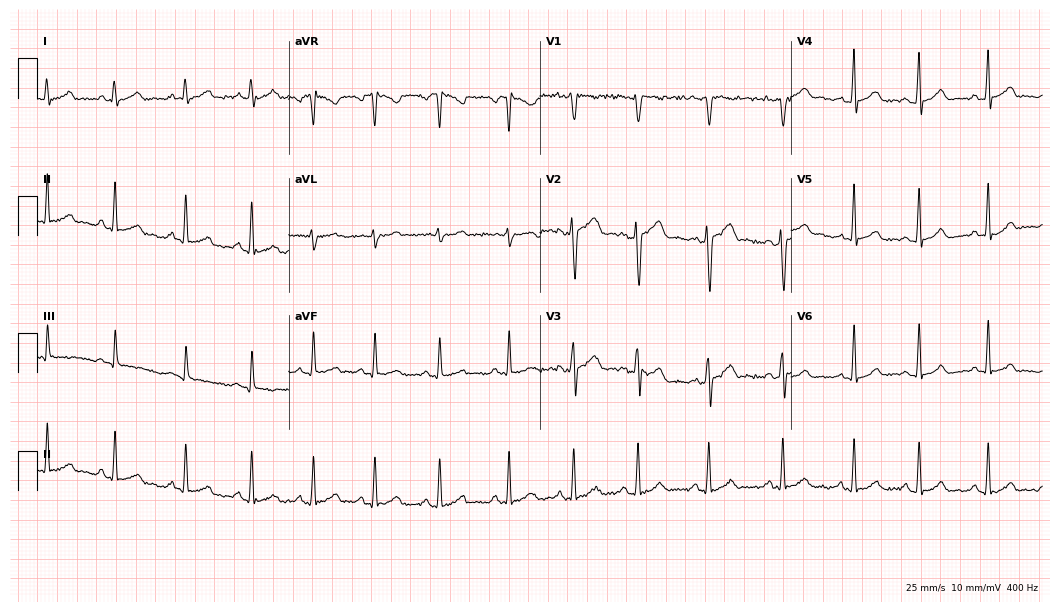
12-lead ECG (10.2-second recording at 400 Hz) from a woman, 21 years old. Screened for six findings — first-degree AV block, right bundle branch block, left bundle branch block, sinus bradycardia, atrial fibrillation, sinus tachycardia — none is recorded. Only these six findings were labelled.